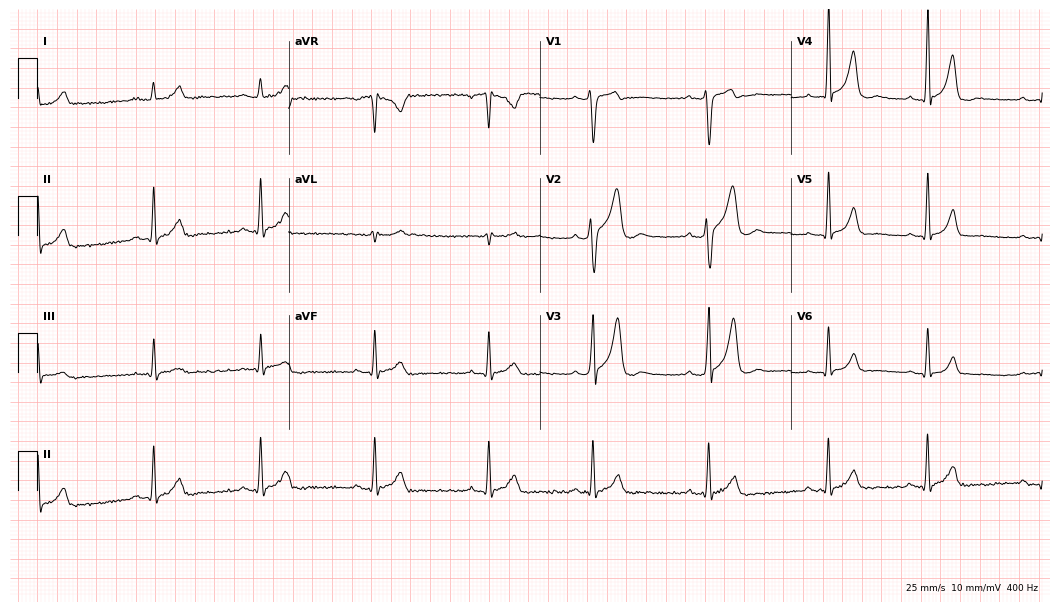
12-lead ECG from a 23-year-old male (10.2-second recording at 400 Hz). Recorded interpretation: within normal limits.